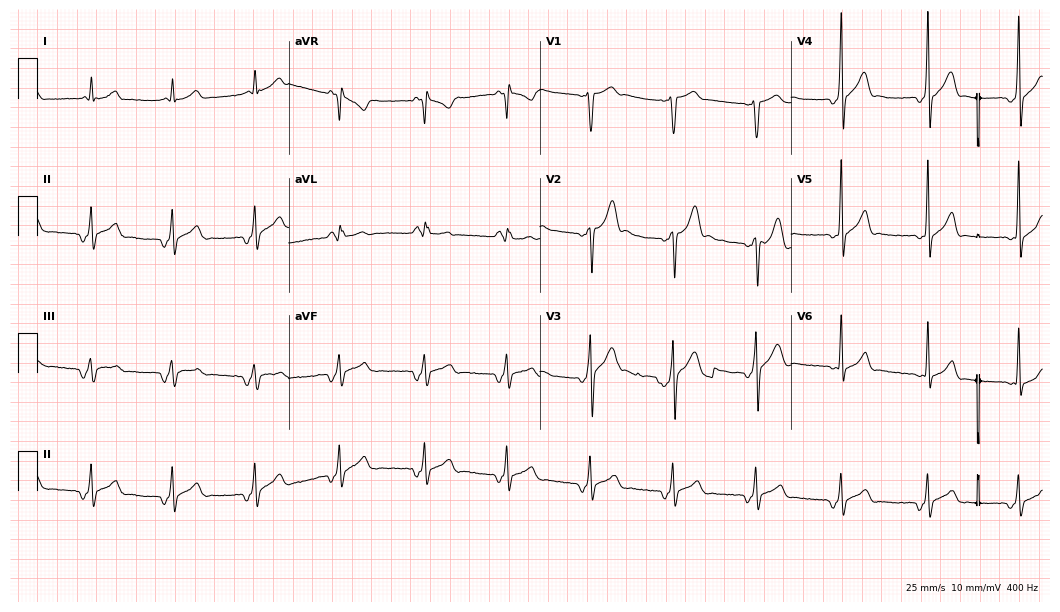
ECG — a male patient, 29 years old. Screened for six findings — first-degree AV block, right bundle branch block, left bundle branch block, sinus bradycardia, atrial fibrillation, sinus tachycardia — none is recorded.